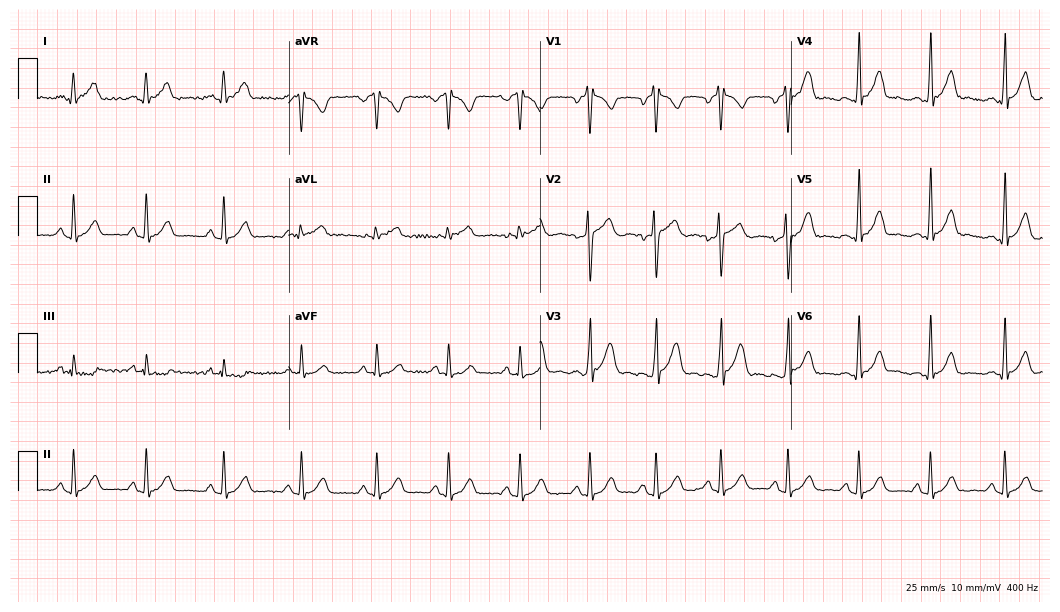
Resting 12-lead electrocardiogram. Patient: a 21-year-old man. Read as a normal ECG.